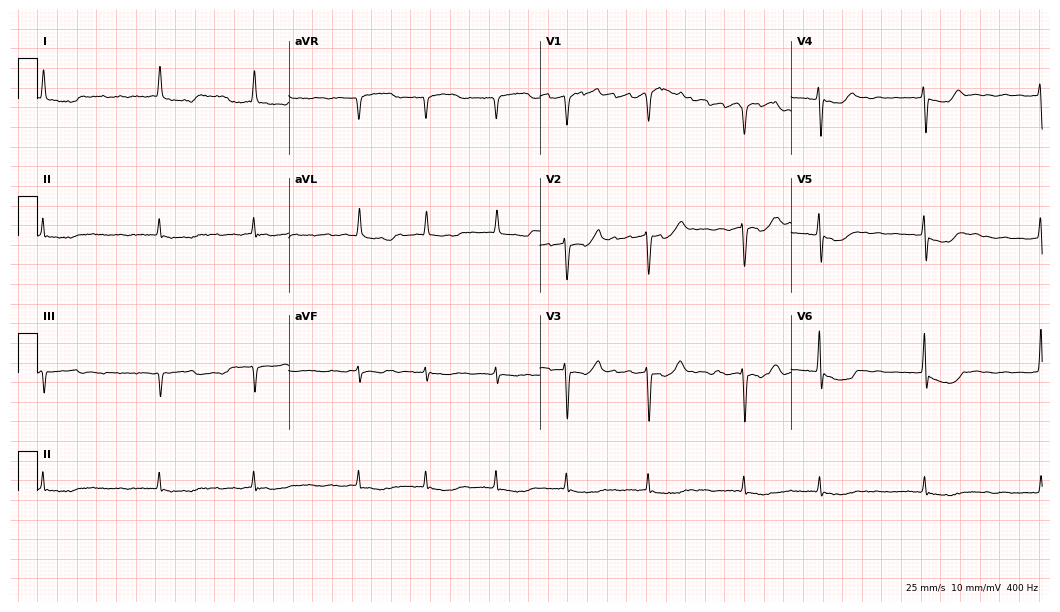
Resting 12-lead electrocardiogram. Patient: a female, 74 years old. The tracing shows atrial fibrillation.